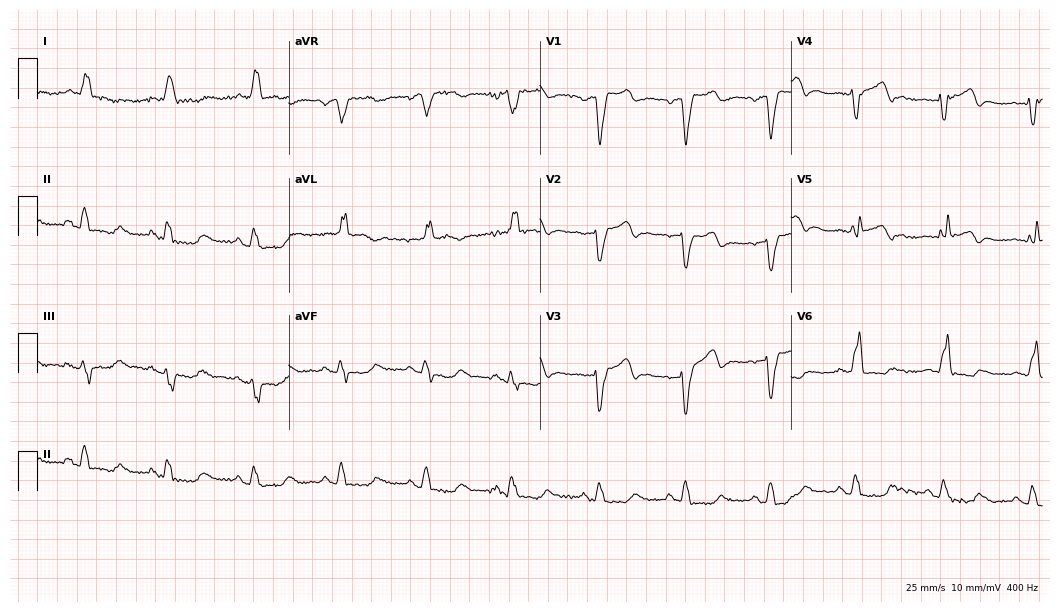
Standard 12-lead ECG recorded from a 73-year-old woman (10.2-second recording at 400 Hz). The tracing shows left bundle branch block.